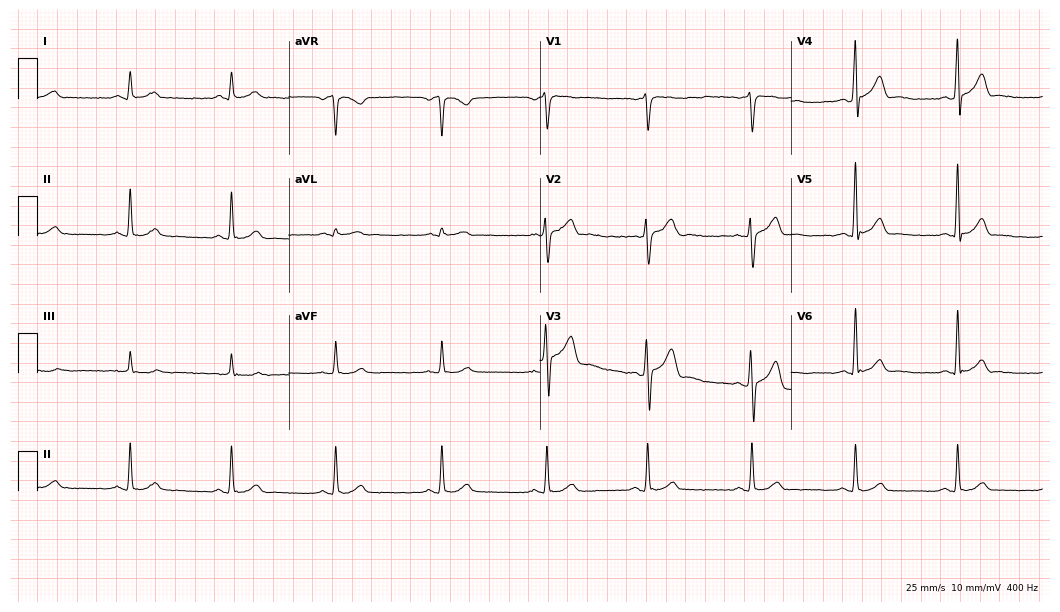
Resting 12-lead electrocardiogram. Patient: a man, 42 years old. None of these six findings is recorded: first-degree AV block, right bundle branch block (RBBB), left bundle branch block (LBBB), sinus bradycardia, atrial fibrillation (AF), sinus tachycardia. Findings outside these six are not listed.